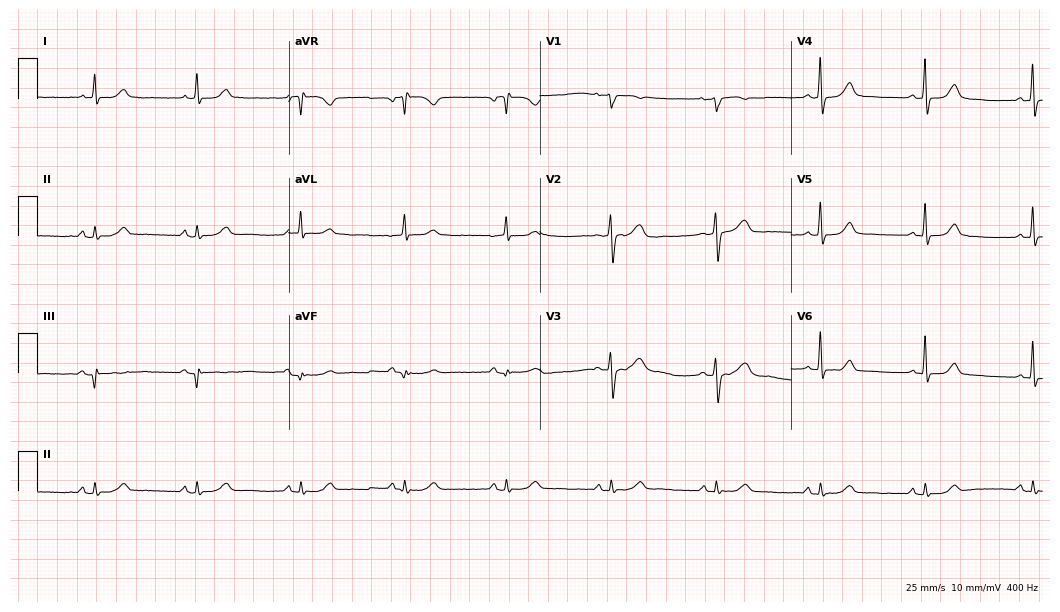
12-lead ECG from a female, 64 years old. Recorded interpretation: within normal limits.